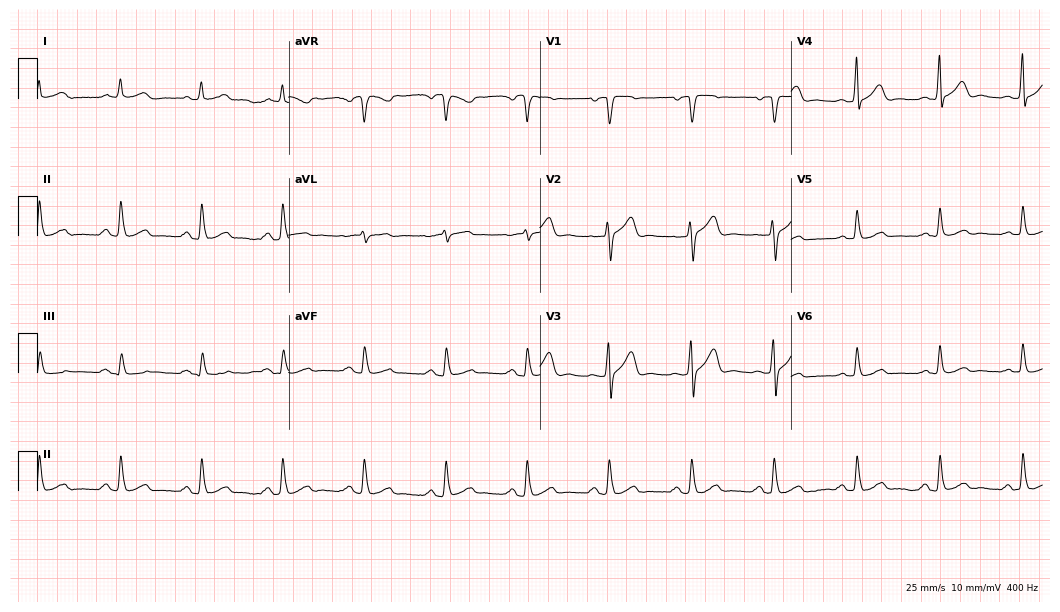
Electrocardiogram (10.2-second recording at 400 Hz), a male, 55 years old. Overall reading on record: normal ECG.